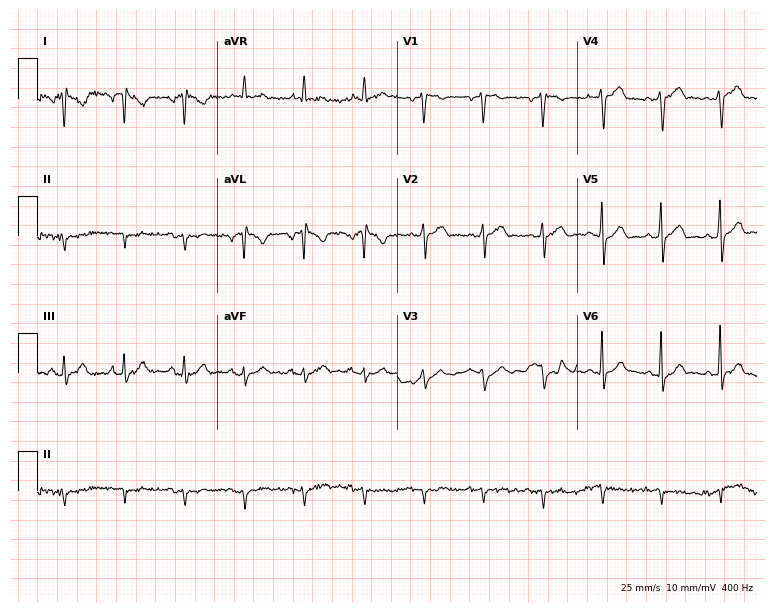
ECG — a man, 60 years old. Screened for six findings — first-degree AV block, right bundle branch block (RBBB), left bundle branch block (LBBB), sinus bradycardia, atrial fibrillation (AF), sinus tachycardia — none is recorded. Only these six findings were labelled.